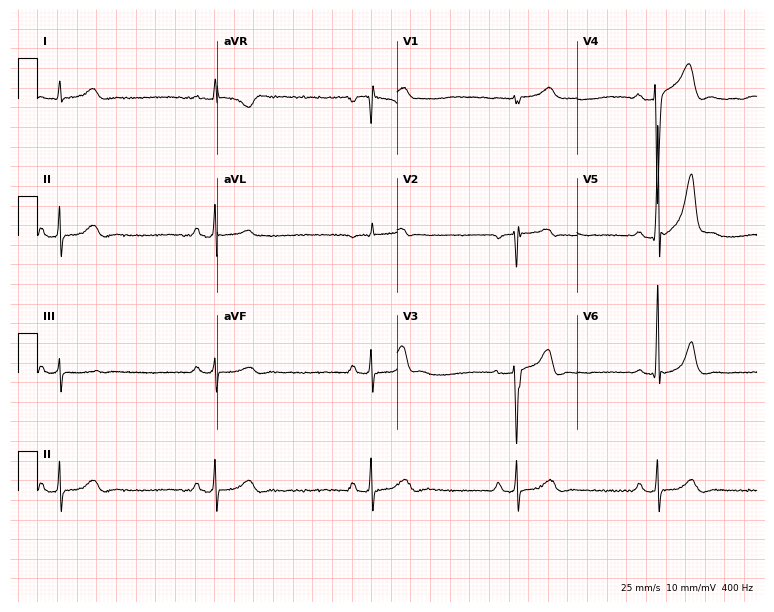
Standard 12-lead ECG recorded from a 53-year-old male (7.3-second recording at 400 Hz). None of these six findings is recorded: first-degree AV block, right bundle branch block (RBBB), left bundle branch block (LBBB), sinus bradycardia, atrial fibrillation (AF), sinus tachycardia. Other findings, if any, are not listed.